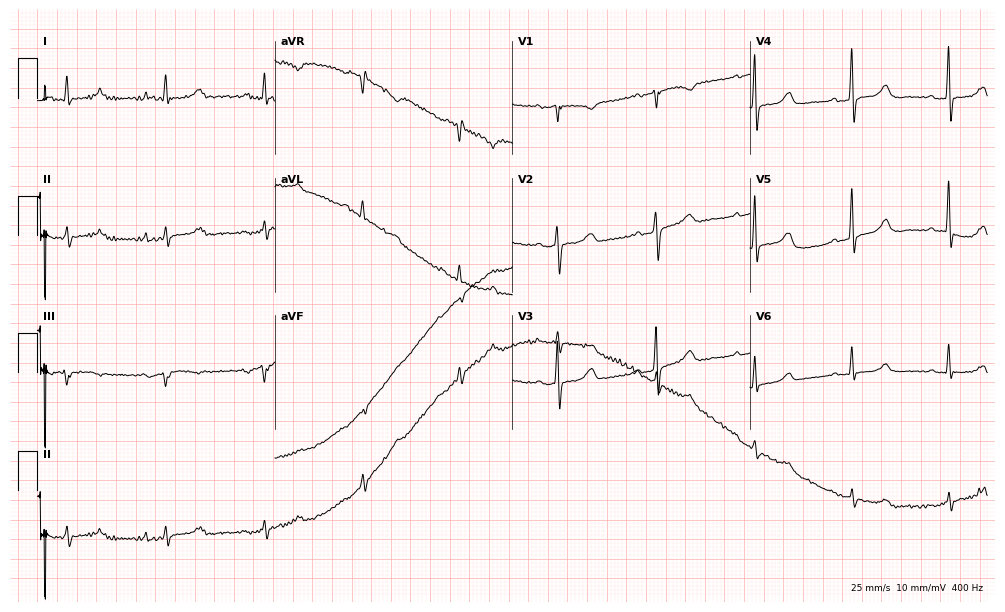
12-lead ECG (9.7-second recording at 400 Hz) from a female patient, 68 years old. Labelled as a normal ECG.